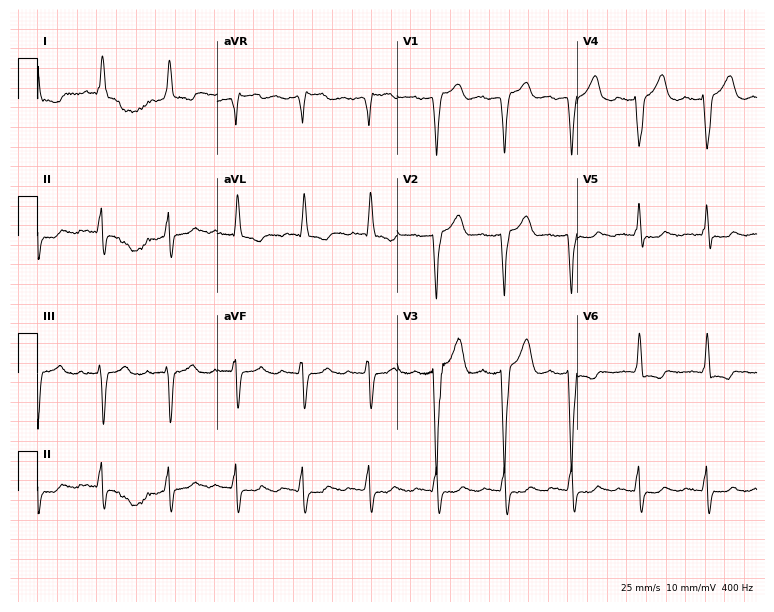
ECG — a man, 69 years old. Screened for six findings — first-degree AV block, right bundle branch block (RBBB), left bundle branch block (LBBB), sinus bradycardia, atrial fibrillation (AF), sinus tachycardia — none is recorded. Other findings, if any, are not listed.